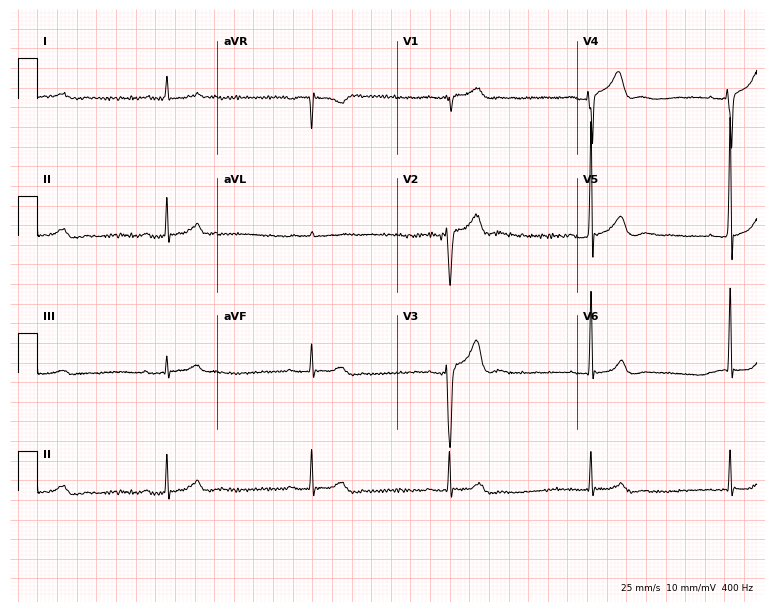
Electrocardiogram, a male patient, 32 years old. Of the six screened findings (first-degree AV block, right bundle branch block (RBBB), left bundle branch block (LBBB), sinus bradycardia, atrial fibrillation (AF), sinus tachycardia), none is recorded.